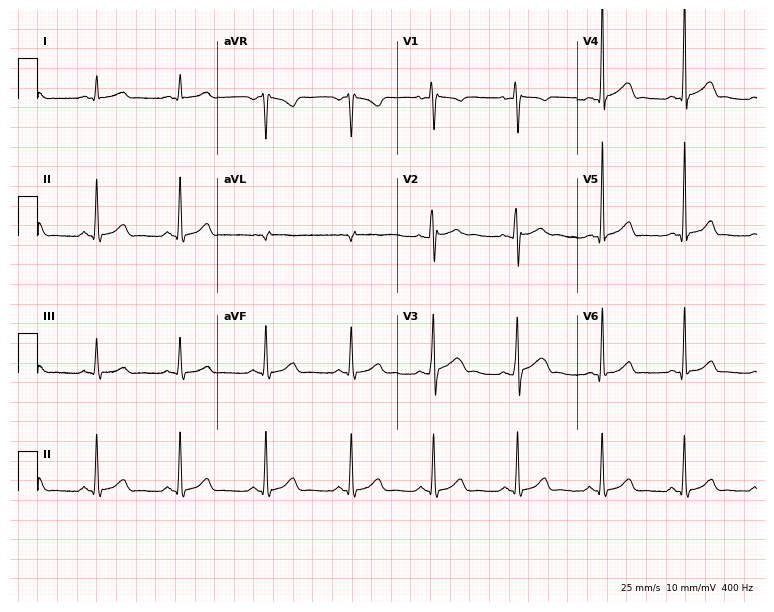
ECG (7.3-second recording at 400 Hz) — a 27-year-old male. Labelled as a normal ECG.